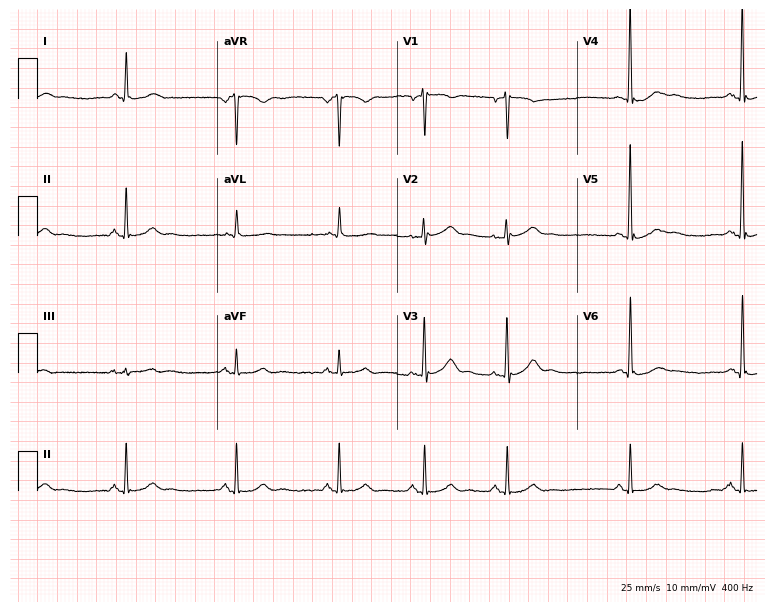
Electrocardiogram, a 64-year-old male patient. Overall reading on record: normal ECG.